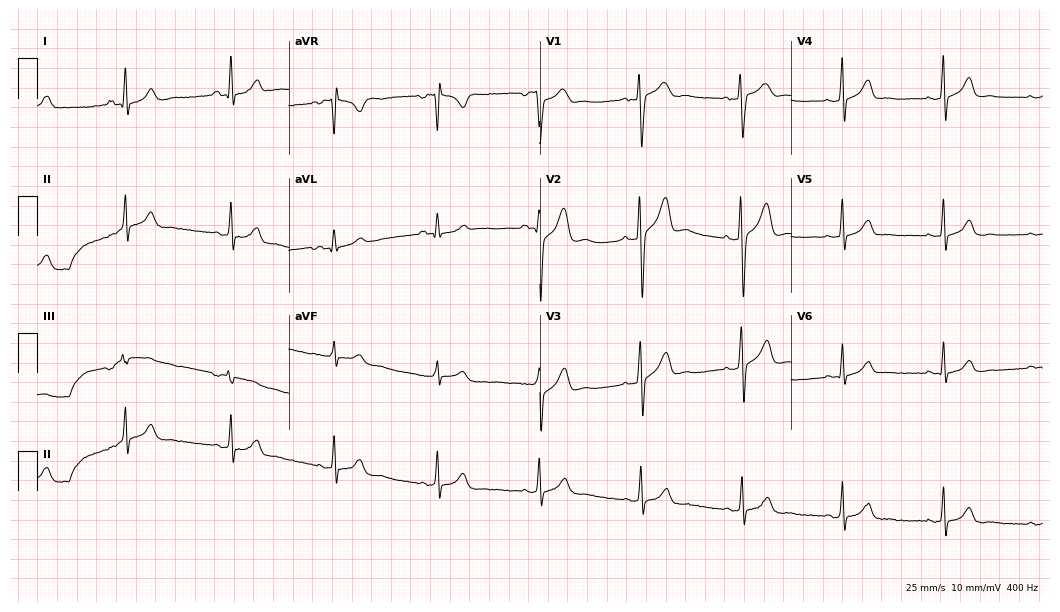
12-lead ECG from a man, 18 years old (10.2-second recording at 400 Hz). Recorded interpretation: within normal limits.